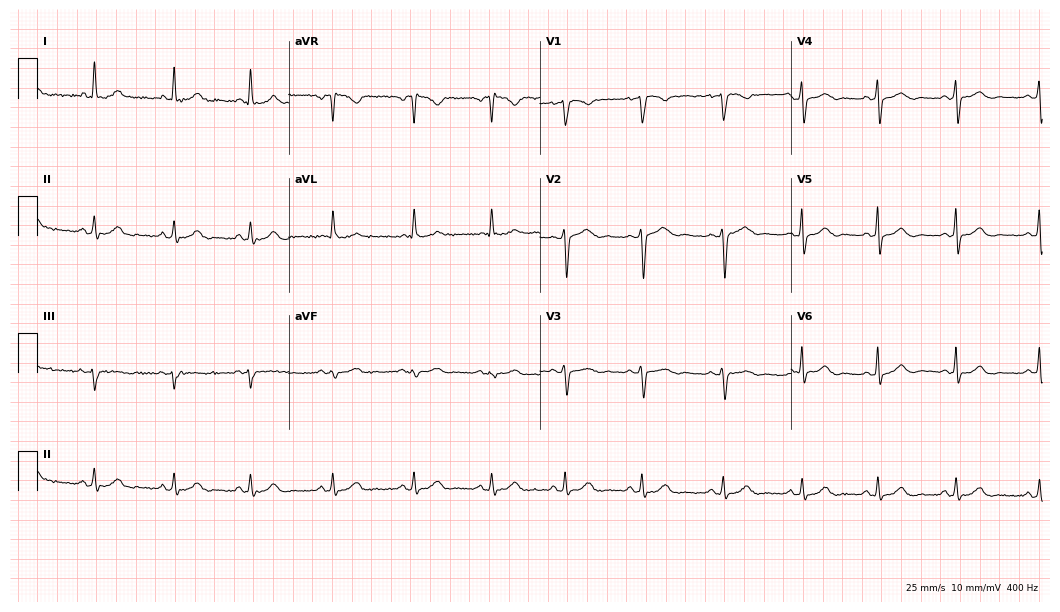
ECG (10.2-second recording at 400 Hz) — a 31-year-old female patient. Labelled as a normal ECG.